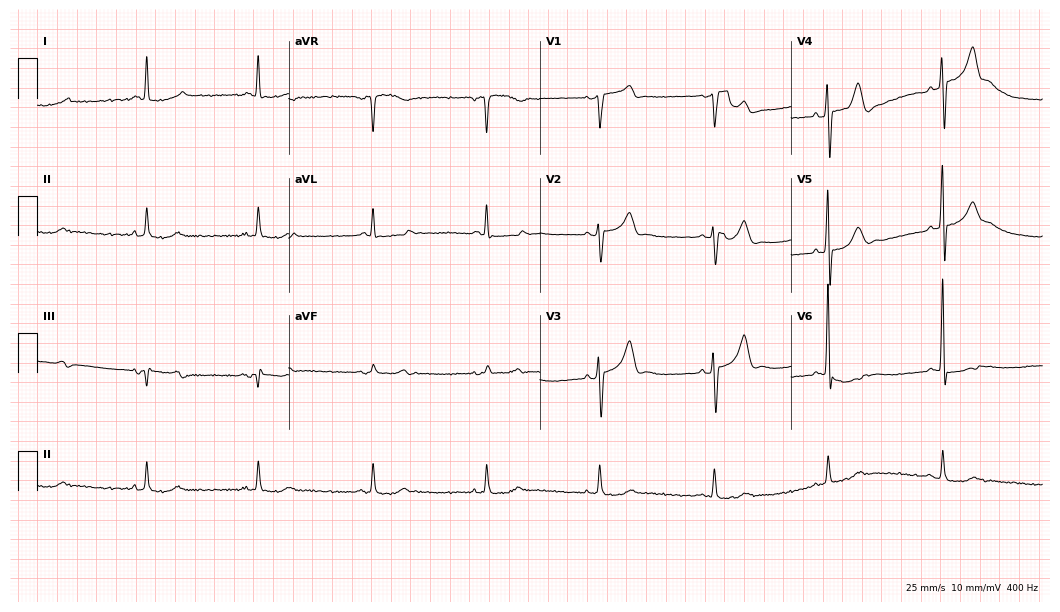
Resting 12-lead electrocardiogram. Patient: a 73-year-old man. Read as a normal ECG.